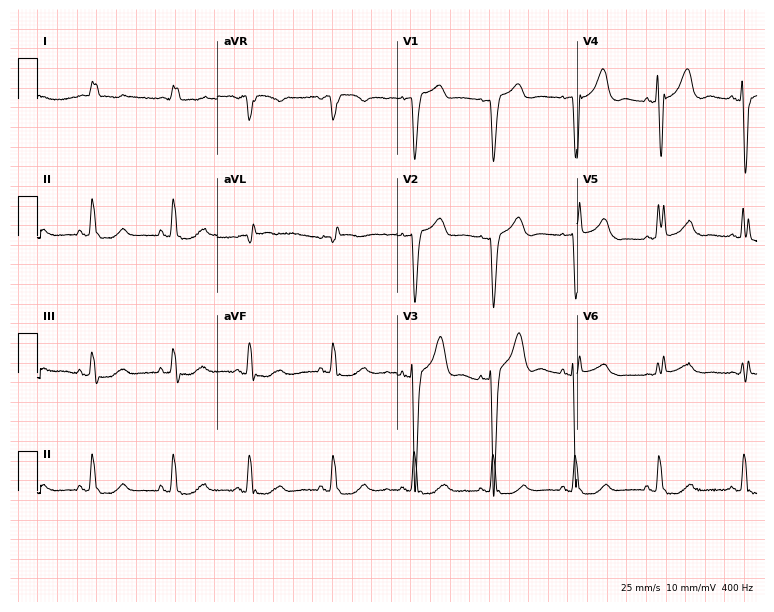
12-lead ECG from a woman, 80 years old. Screened for six findings — first-degree AV block, right bundle branch block, left bundle branch block, sinus bradycardia, atrial fibrillation, sinus tachycardia — none is recorded.